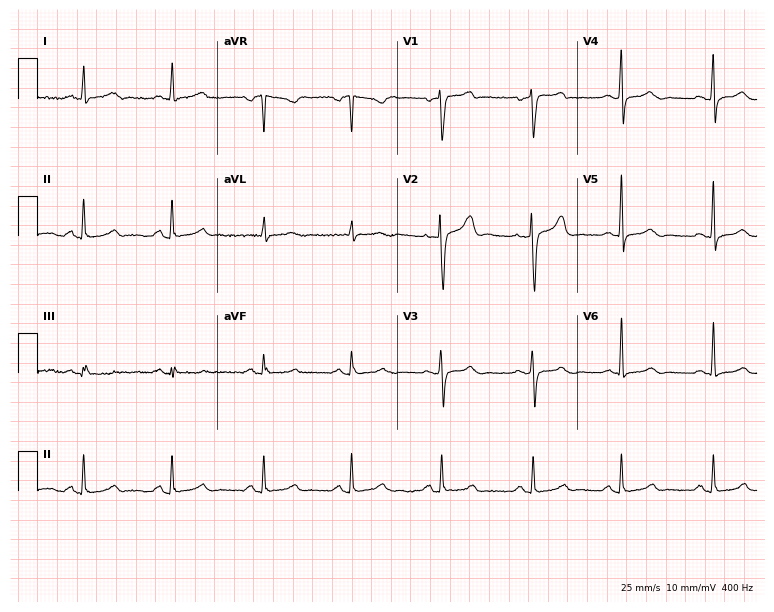
Electrocardiogram, a 53-year-old female. Overall reading on record: normal ECG.